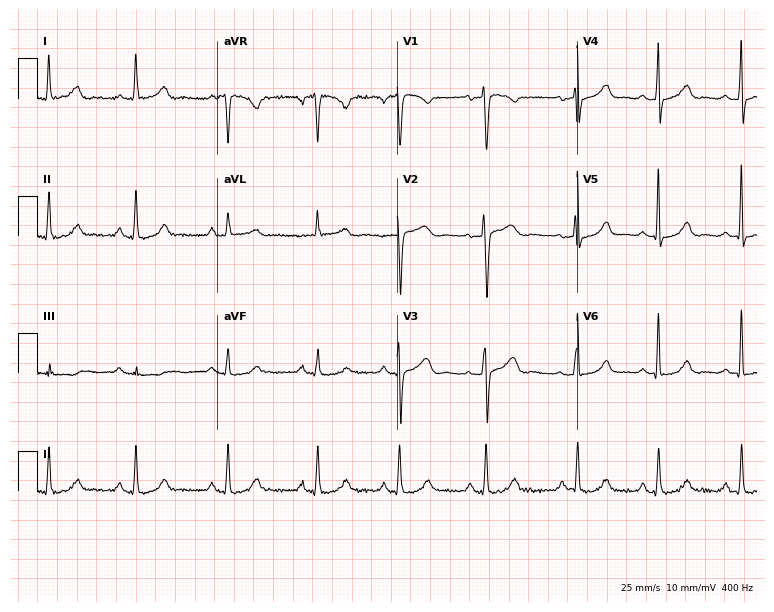
ECG — a female, 41 years old. Labelled as a normal ECG.